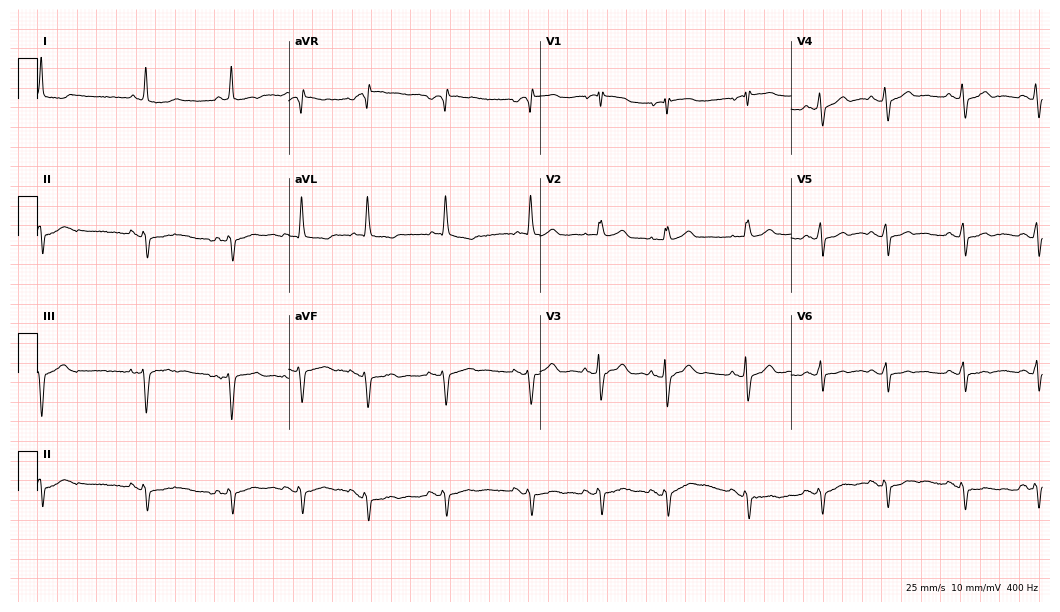
Resting 12-lead electrocardiogram (10.2-second recording at 400 Hz). Patient: an 82-year-old woman. None of these six findings is recorded: first-degree AV block, right bundle branch block, left bundle branch block, sinus bradycardia, atrial fibrillation, sinus tachycardia. Only these six findings were labelled.